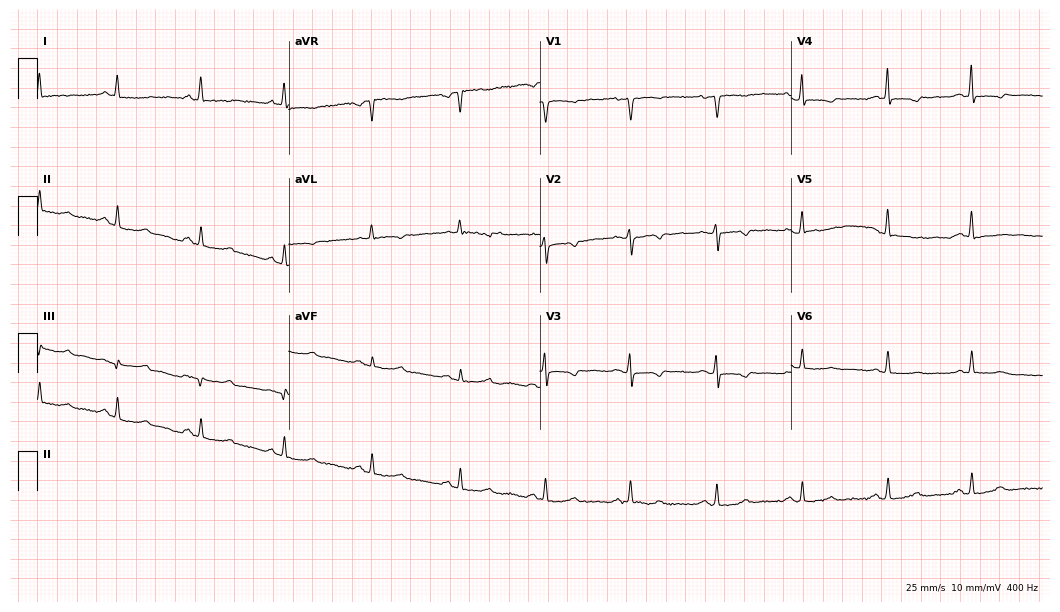
Standard 12-lead ECG recorded from a 49-year-old female (10.2-second recording at 400 Hz). None of these six findings is recorded: first-degree AV block, right bundle branch block (RBBB), left bundle branch block (LBBB), sinus bradycardia, atrial fibrillation (AF), sinus tachycardia.